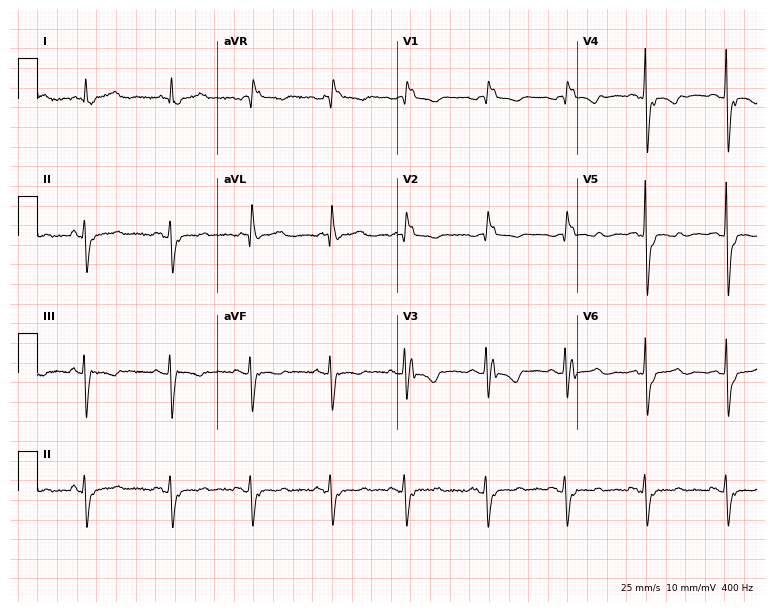
Standard 12-lead ECG recorded from a man, 74 years old. The tracing shows right bundle branch block (RBBB).